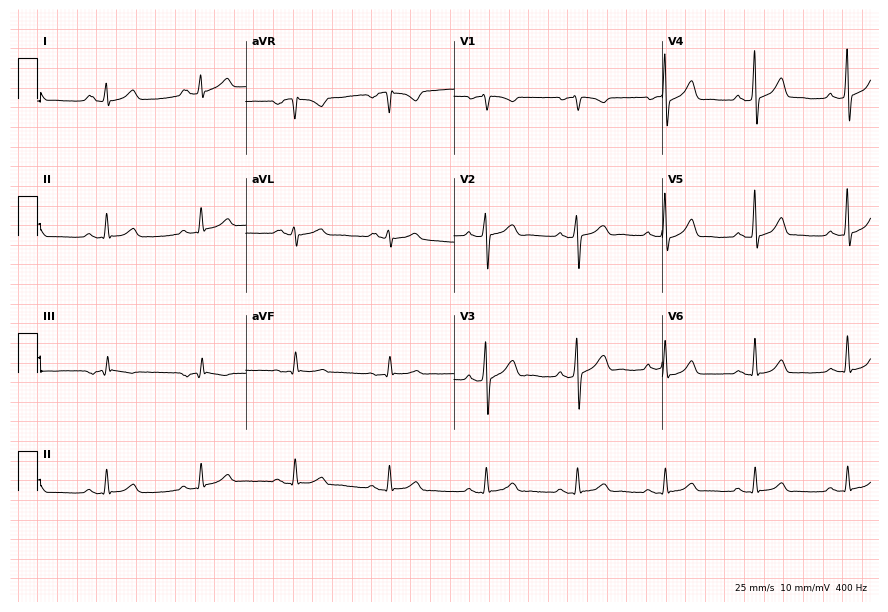
Standard 12-lead ECG recorded from a male, 37 years old. Read as a normal ECG.